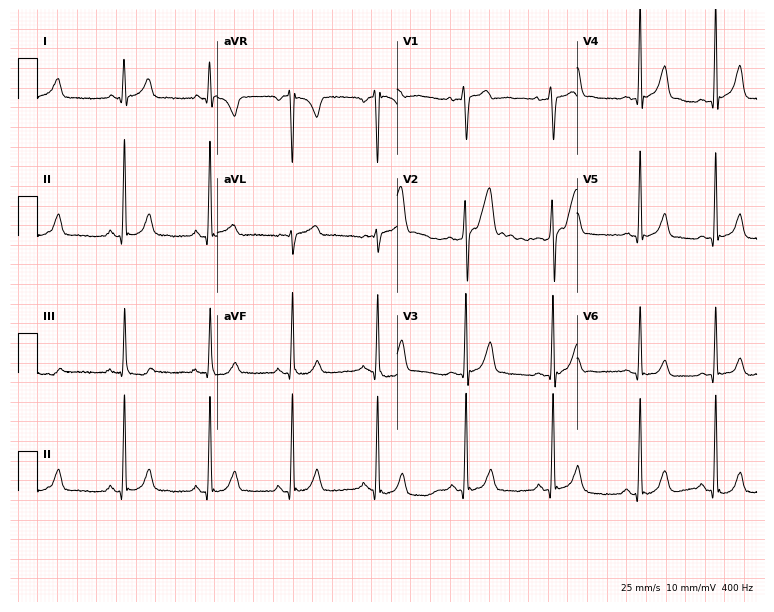
12-lead ECG from a male, 20 years old (7.3-second recording at 400 Hz). Recorded interpretation: within normal limits.